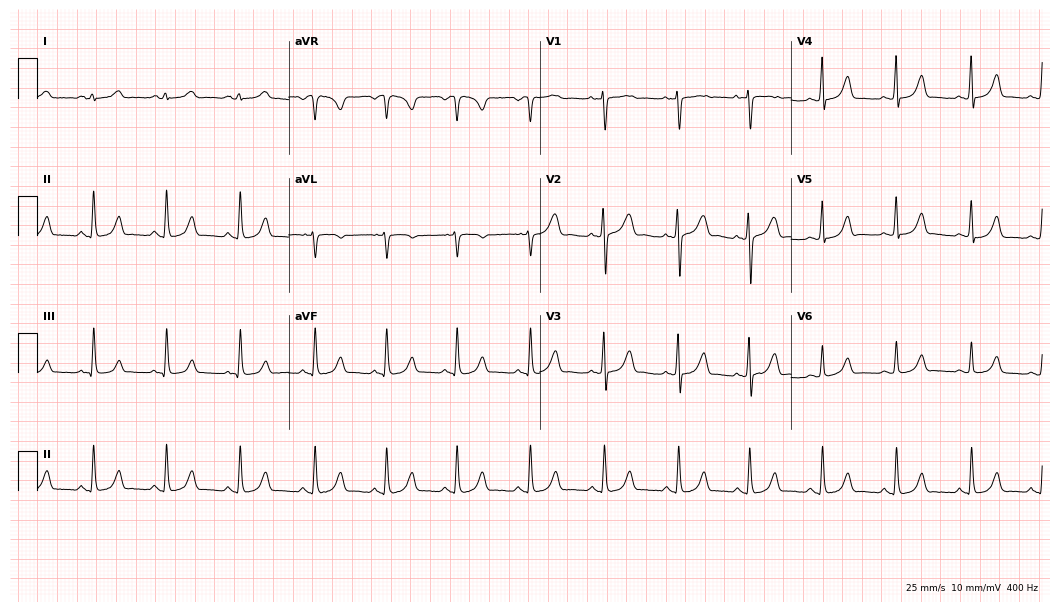
Resting 12-lead electrocardiogram. Patient: a female, 19 years old. None of these six findings is recorded: first-degree AV block, right bundle branch block (RBBB), left bundle branch block (LBBB), sinus bradycardia, atrial fibrillation (AF), sinus tachycardia.